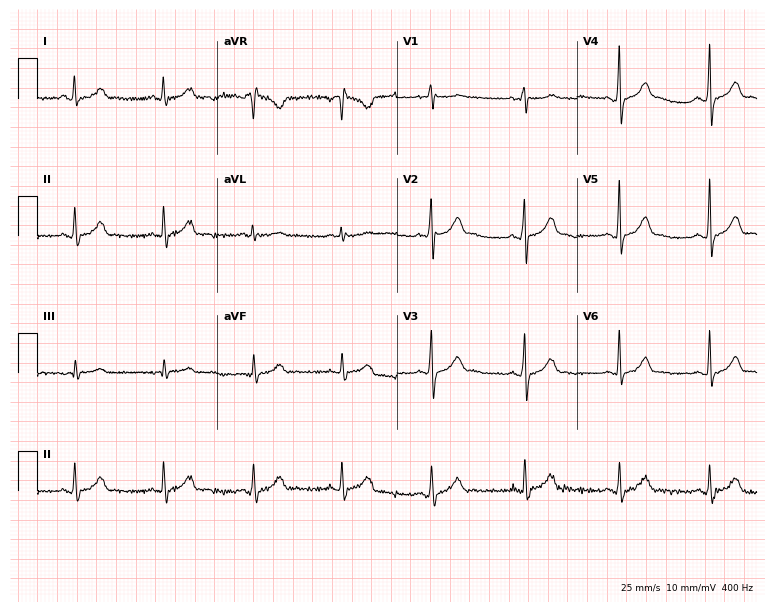
Standard 12-lead ECG recorded from a male, 34 years old. Read as a normal ECG.